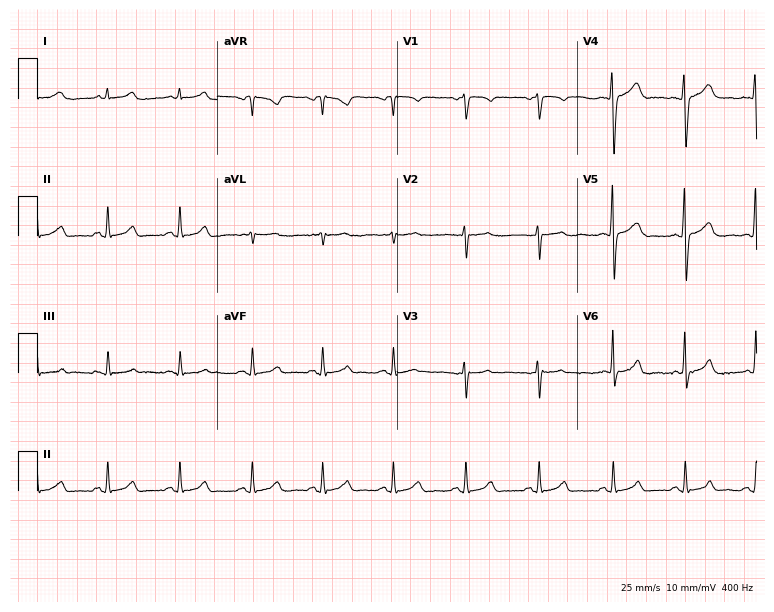
12-lead ECG from a 30-year-old female patient. Labelled as a normal ECG.